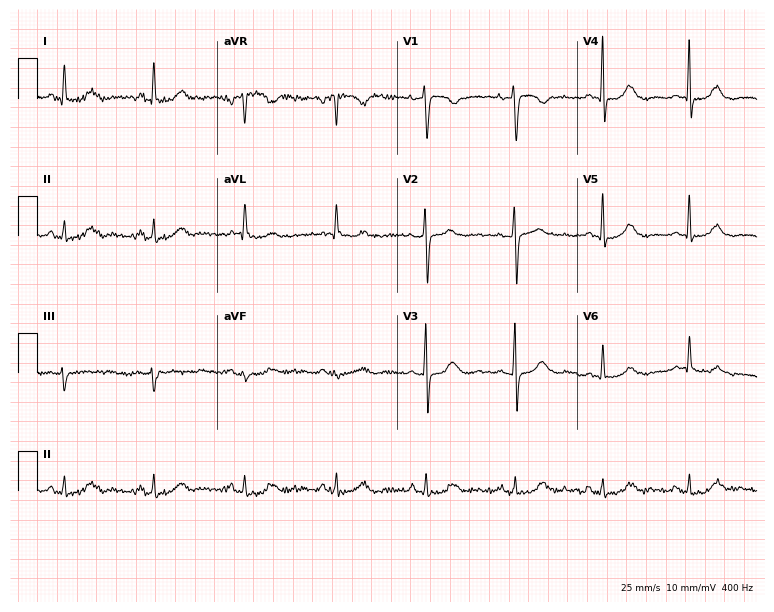
Electrocardiogram, a female patient, 82 years old. Of the six screened findings (first-degree AV block, right bundle branch block, left bundle branch block, sinus bradycardia, atrial fibrillation, sinus tachycardia), none is recorded.